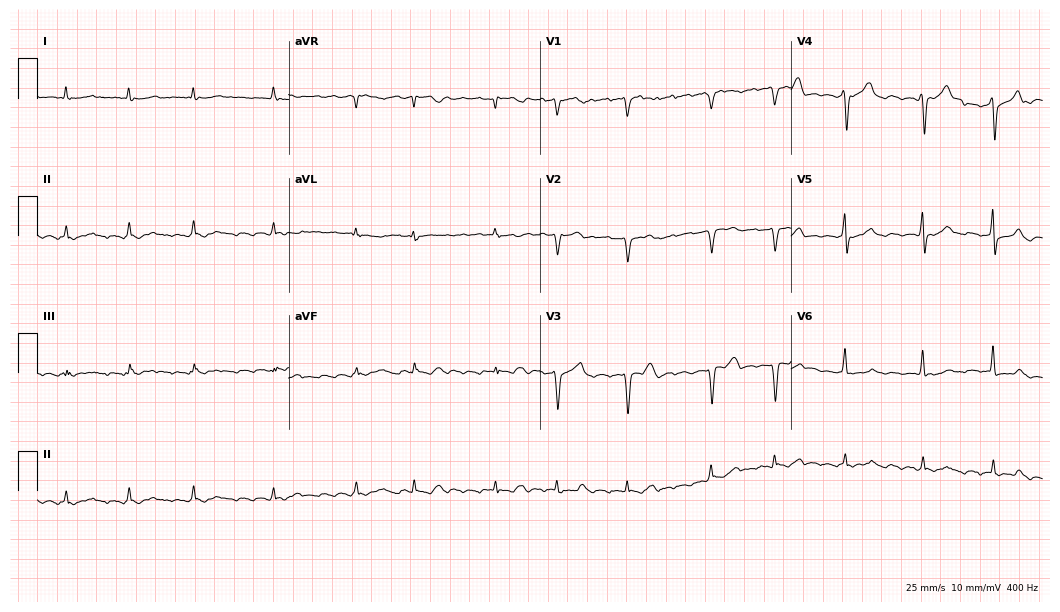
12-lead ECG from a 71-year-old female patient. No first-degree AV block, right bundle branch block (RBBB), left bundle branch block (LBBB), sinus bradycardia, atrial fibrillation (AF) or sinus tachycardia recorded for this tracing.